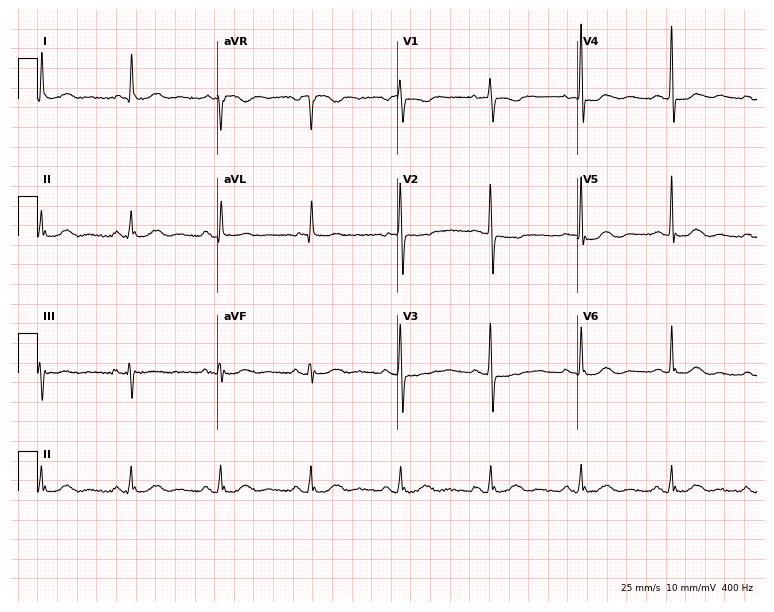
12-lead ECG (7.3-second recording at 400 Hz) from an 85-year-old female patient. Screened for six findings — first-degree AV block, right bundle branch block, left bundle branch block, sinus bradycardia, atrial fibrillation, sinus tachycardia — none is recorded. Findings outside these six are not listed.